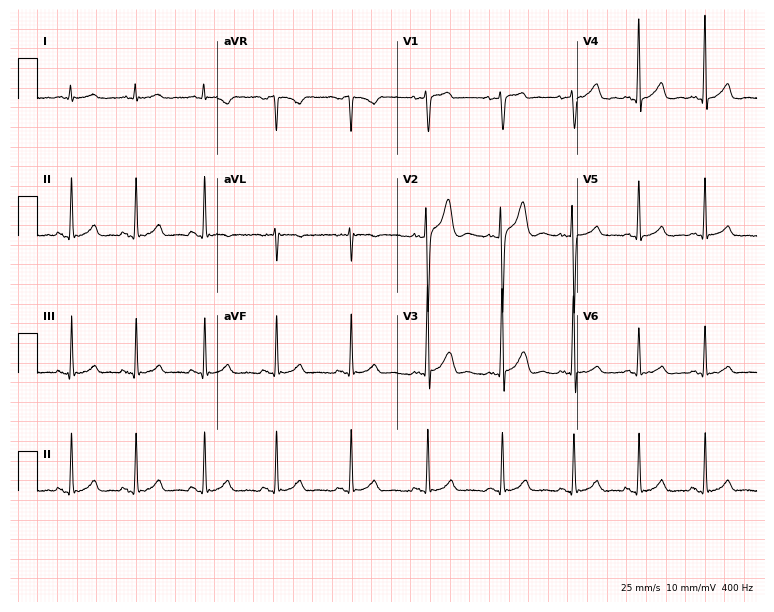
ECG (7.3-second recording at 400 Hz) — a 25-year-old male patient. Labelled as a normal ECG.